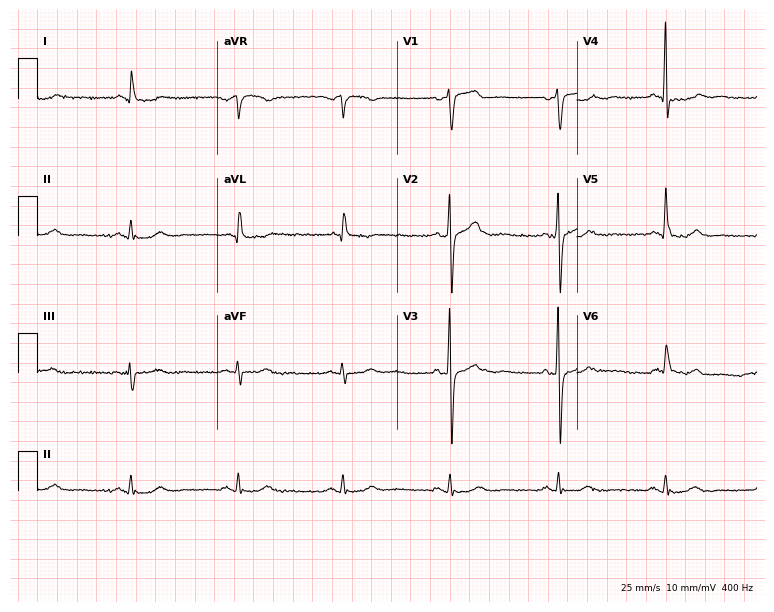
12-lead ECG from an 85-year-old male patient. No first-degree AV block, right bundle branch block, left bundle branch block, sinus bradycardia, atrial fibrillation or sinus tachycardia recorded for this tracing.